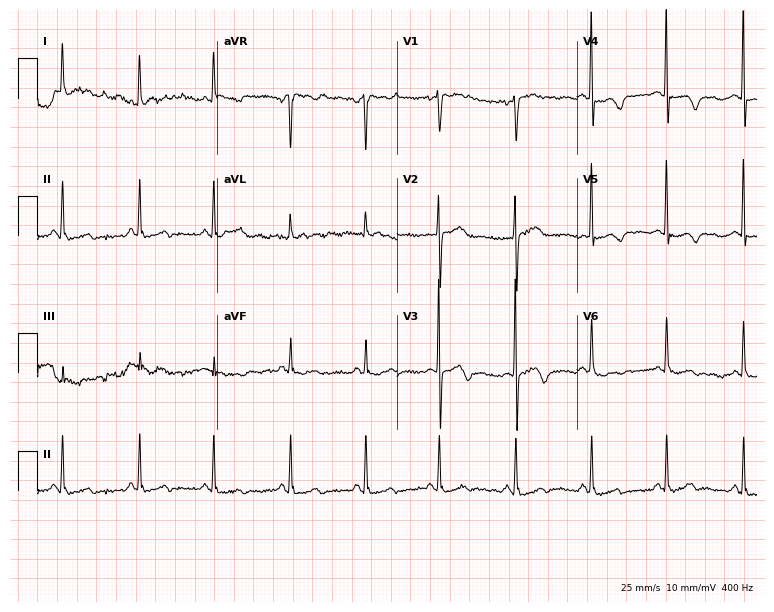
12-lead ECG from a 79-year-old female patient. Screened for six findings — first-degree AV block, right bundle branch block, left bundle branch block, sinus bradycardia, atrial fibrillation, sinus tachycardia — none is recorded.